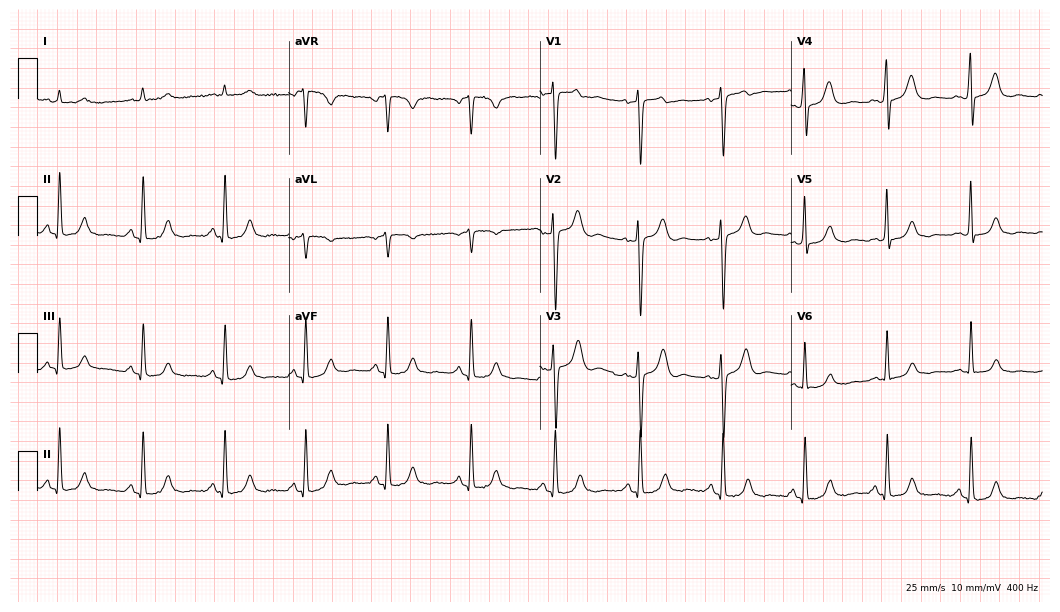
Electrocardiogram, a male patient, 49 years old. Overall reading on record: normal ECG.